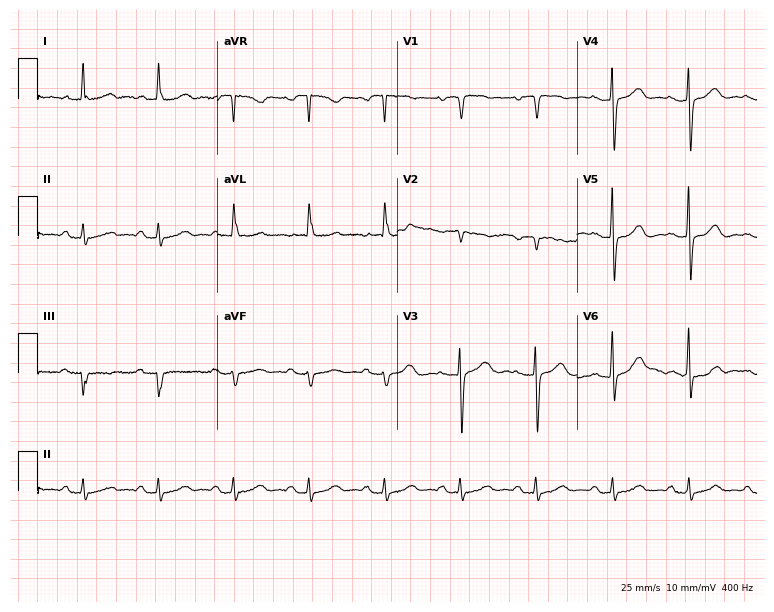
Resting 12-lead electrocardiogram (7.3-second recording at 400 Hz). Patient: an 80-year-old female. None of these six findings is recorded: first-degree AV block, right bundle branch block (RBBB), left bundle branch block (LBBB), sinus bradycardia, atrial fibrillation (AF), sinus tachycardia. Findings outside these six are not listed.